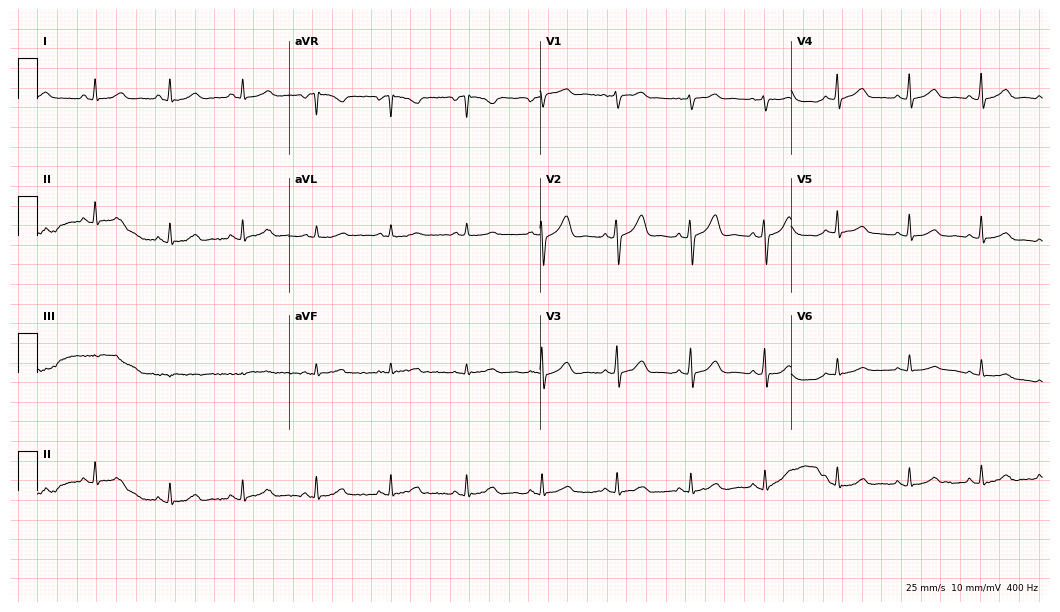
ECG (10.2-second recording at 400 Hz) — a 50-year-old female. Screened for six findings — first-degree AV block, right bundle branch block (RBBB), left bundle branch block (LBBB), sinus bradycardia, atrial fibrillation (AF), sinus tachycardia — none is recorded. Only these six findings were labelled.